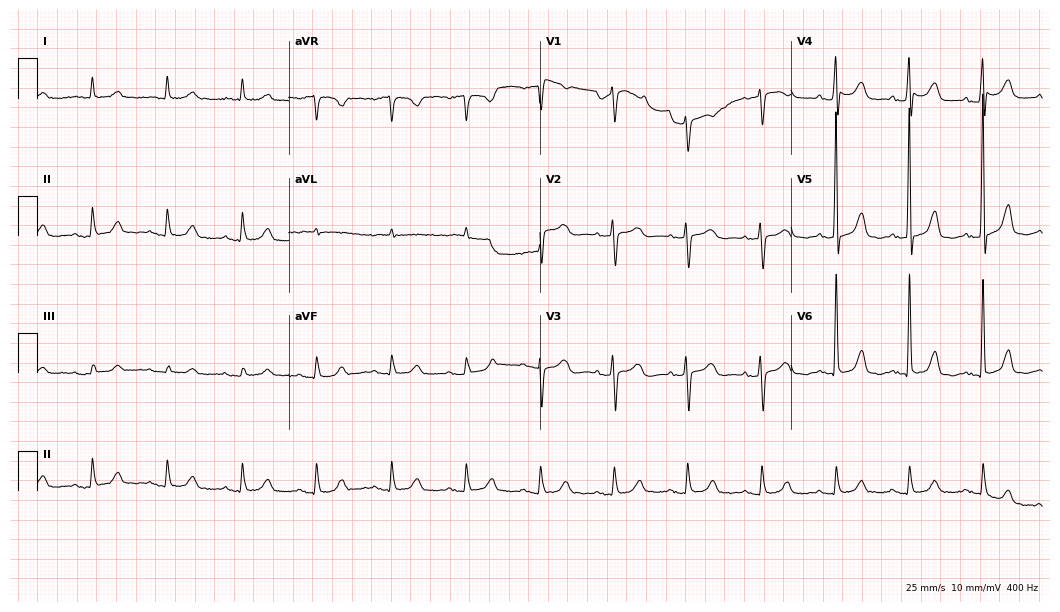
Resting 12-lead electrocardiogram. Patient: a female, 85 years old. Read as a normal ECG.